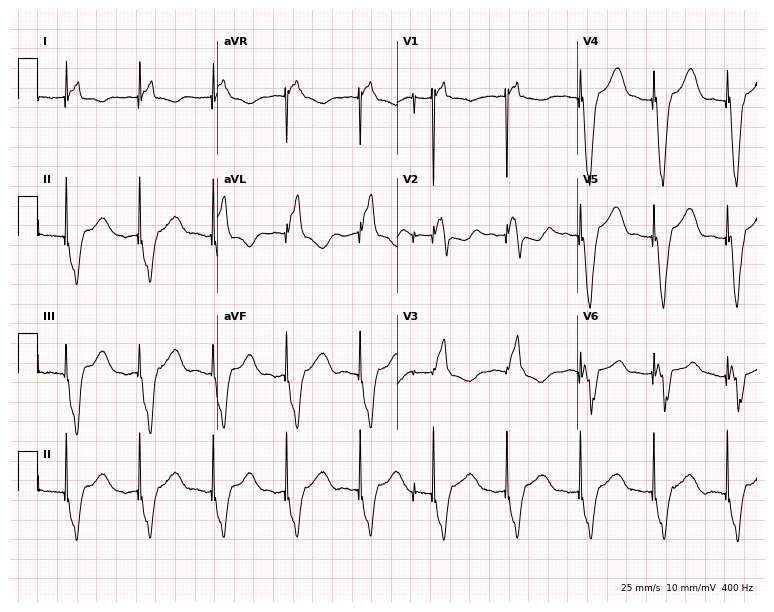
ECG (7.3-second recording at 400 Hz) — a 62-year-old female. Screened for six findings — first-degree AV block, right bundle branch block, left bundle branch block, sinus bradycardia, atrial fibrillation, sinus tachycardia — none is recorded.